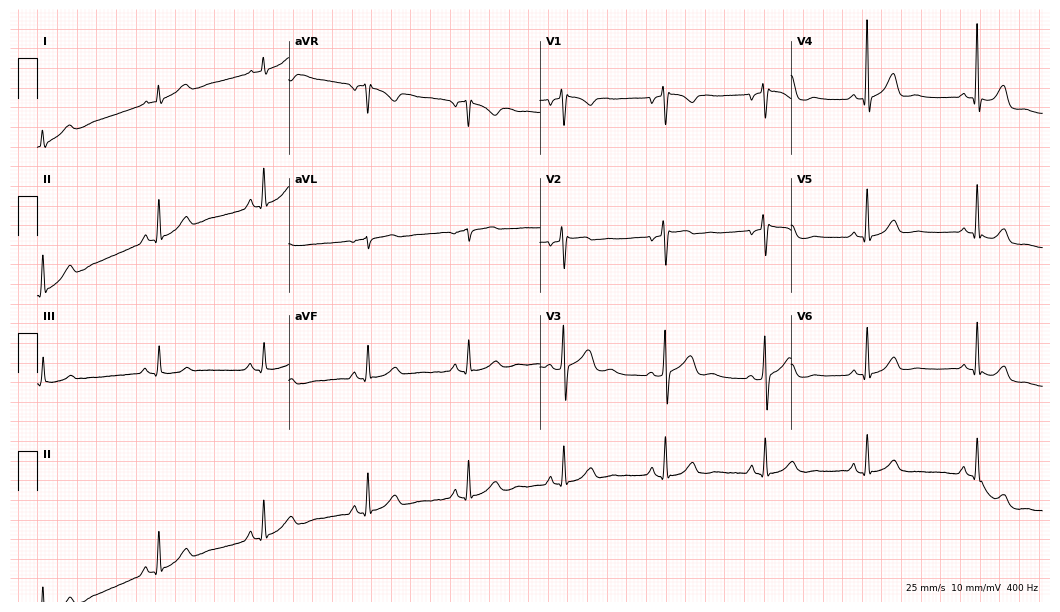
12-lead ECG from a woman, 57 years old. Labelled as a normal ECG.